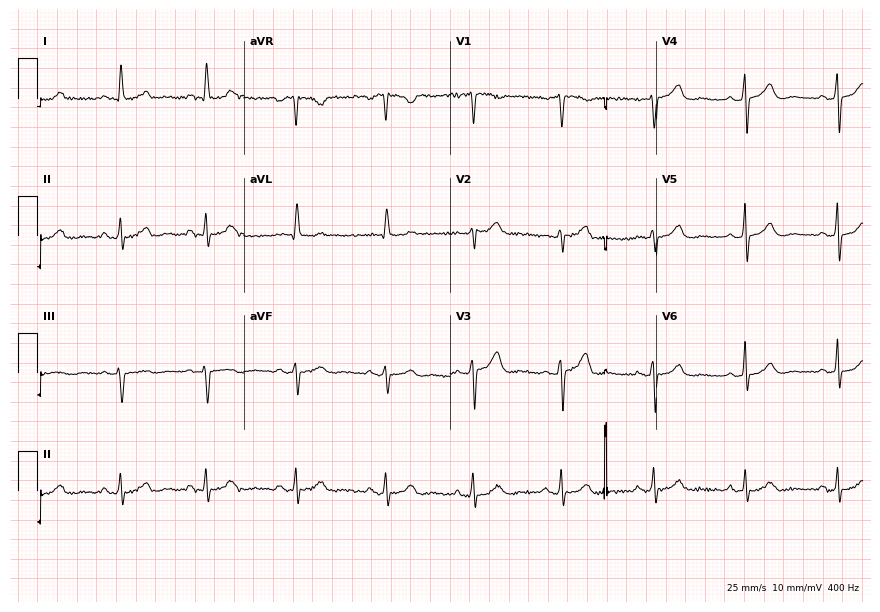
Standard 12-lead ECG recorded from a 55-year-old woman. Read as a normal ECG.